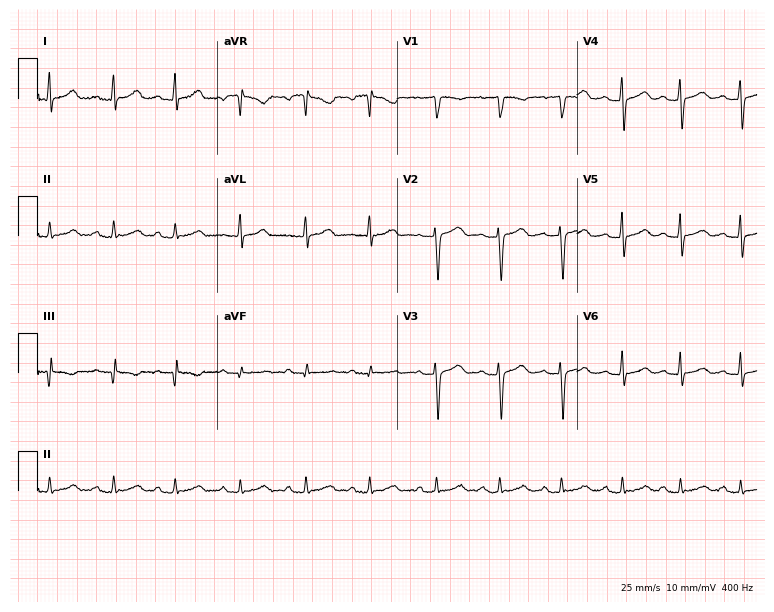
Resting 12-lead electrocardiogram (7.3-second recording at 400 Hz). Patient: a female, 34 years old. Read as a normal ECG.